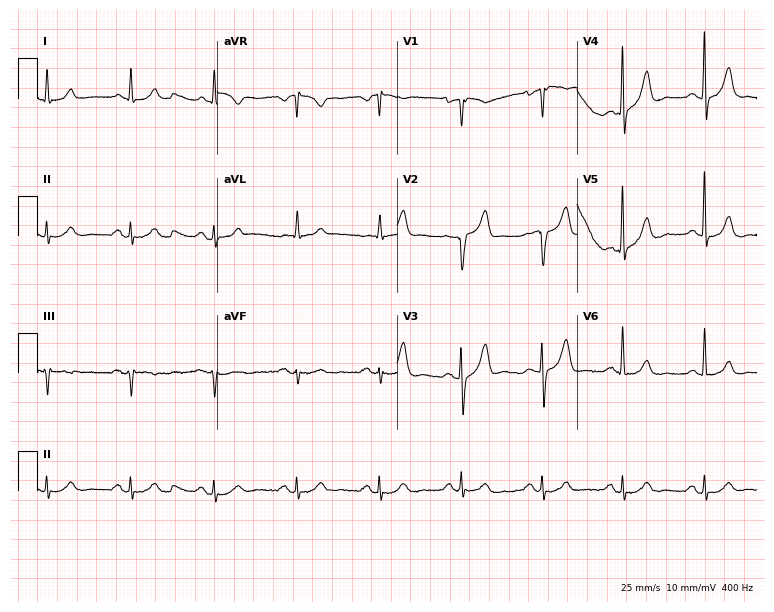
12-lead ECG from a male patient, 78 years old. Screened for six findings — first-degree AV block, right bundle branch block, left bundle branch block, sinus bradycardia, atrial fibrillation, sinus tachycardia — none is recorded.